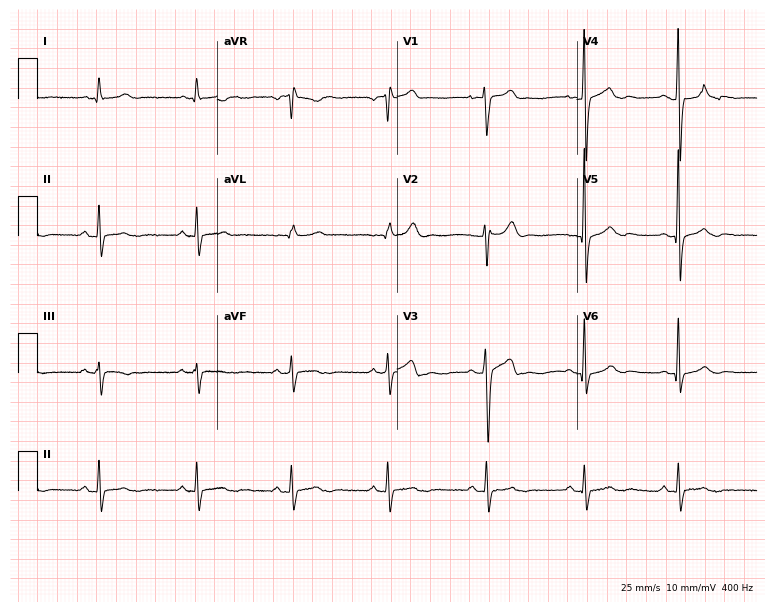
Resting 12-lead electrocardiogram (7.3-second recording at 400 Hz). Patient: a 25-year-old man. Read as a normal ECG.